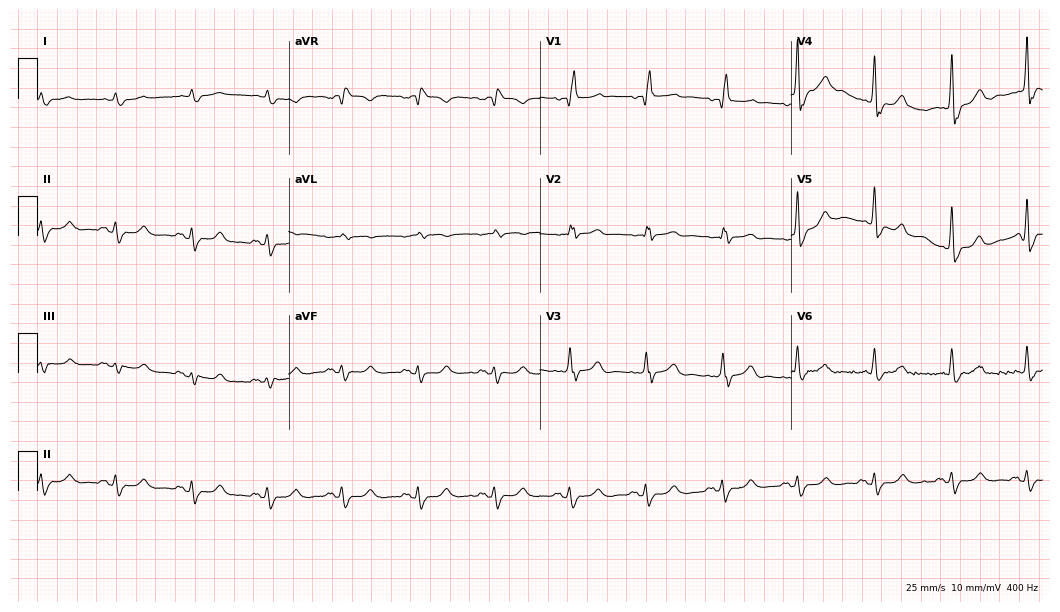
Standard 12-lead ECG recorded from a man, 80 years old. The tracing shows right bundle branch block (RBBB).